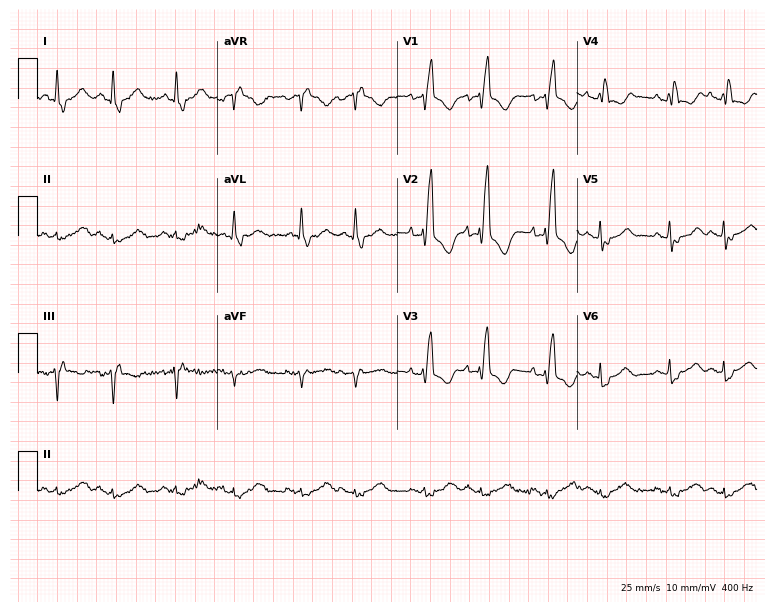
Standard 12-lead ECG recorded from a 79-year-old female patient. The tracing shows right bundle branch block.